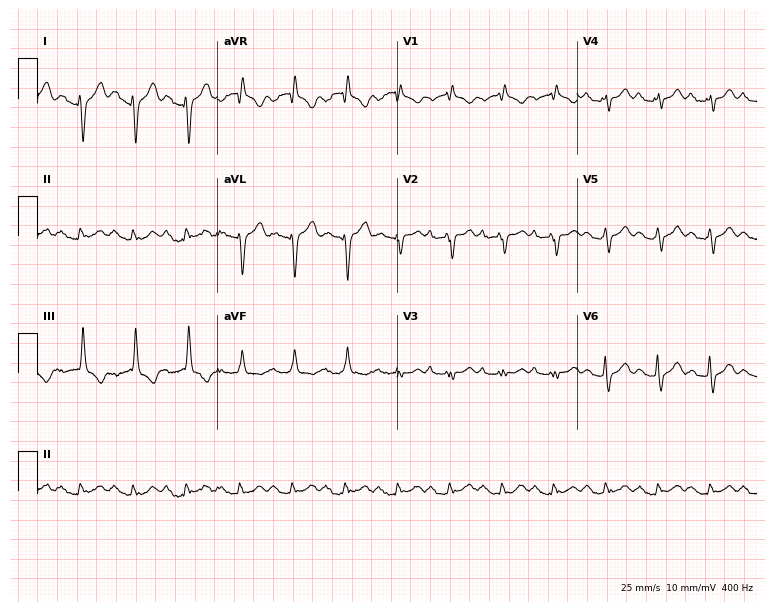
12-lead ECG from a male patient, 33 years old. Findings include sinus tachycardia (a sinus rate of 100 beats per minute or more).